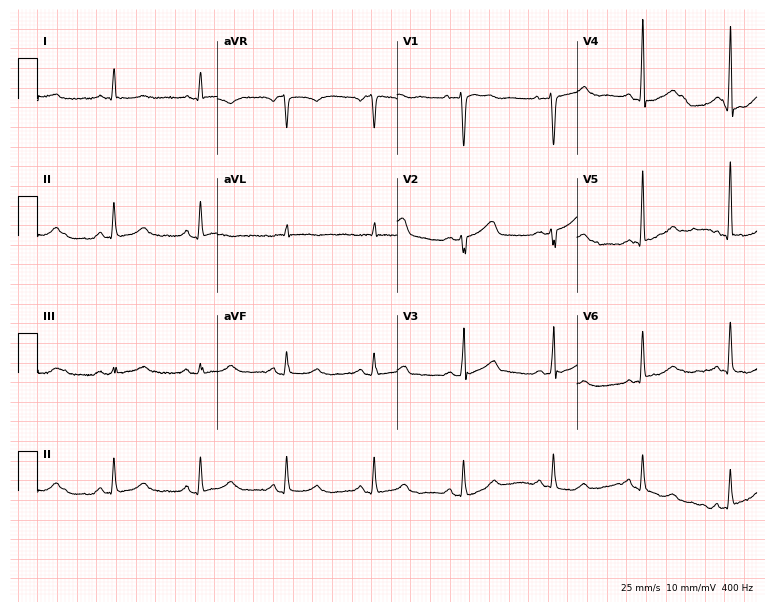
12-lead ECG from a female patient, 65 years old (7.3-second recording at 400 Hz). No first-degree AV block, right bundle branch block, left bundle branch block, sinus bradycardia, atrial fibrillation or sinus tachycardia recorded for this tracing.